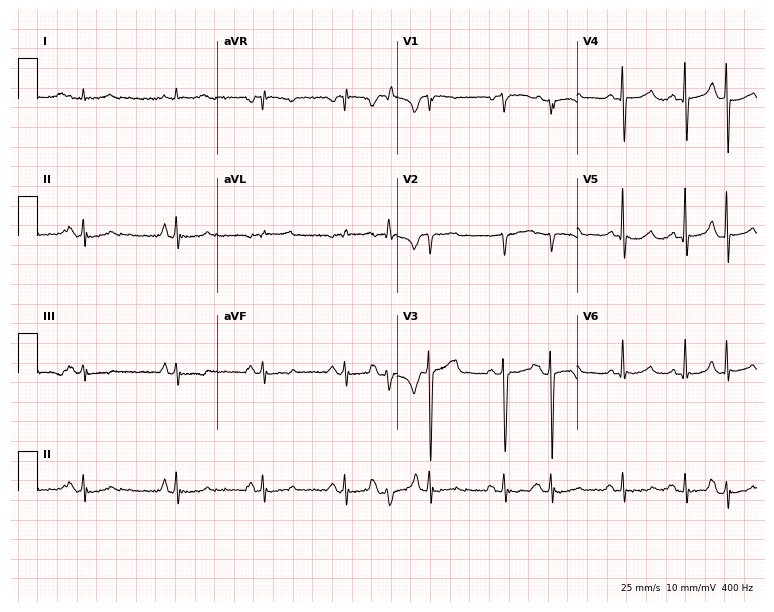
12-lead ECG from a man, 72 years old (7.3-second recording at 400 Hz). No first-degree AV block, right bundle branch block (RBBB), left bundle branch block (LBBB), sinus bradycardia, atrial fibrillation (AF) or sinus tachycardia recorded for this tracing. Findings outside these six are not listed.